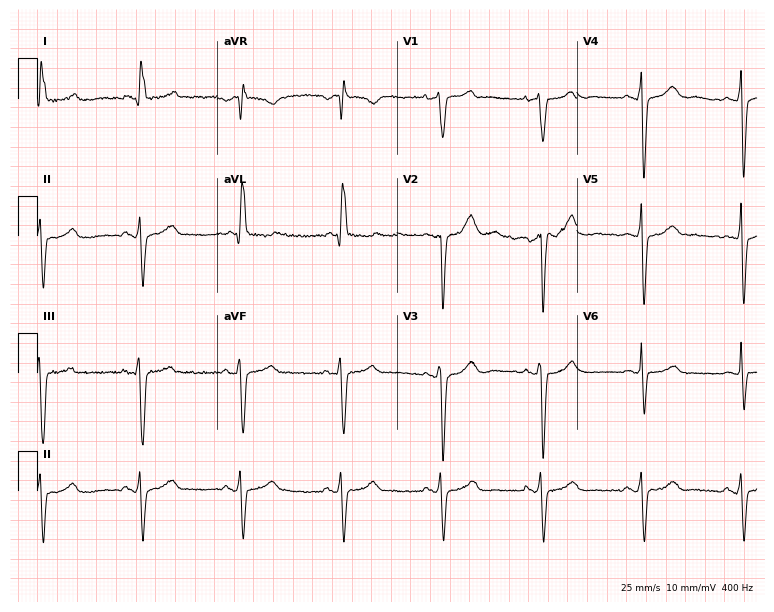
ECG (7.3-second recording at 400 Hz) — a 75-year-old female patient. Screened for six findings — first-degree AV block, right bundle branch block, left bundle branch block, sinus bradycardia, atrial fibrillation, sinus tachycardia — none is recorded.